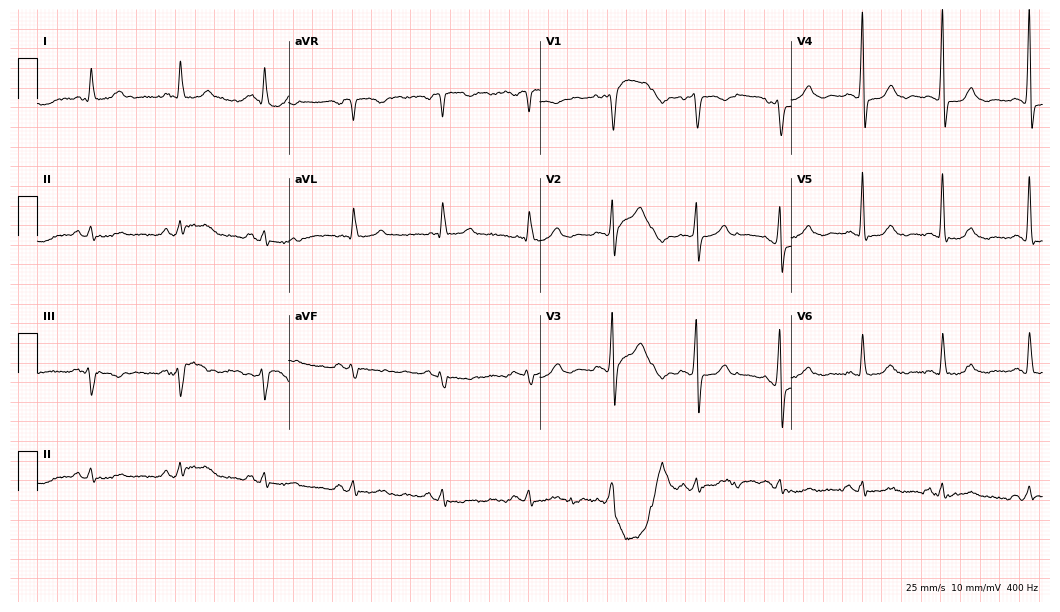
ECG — an 83-year-old male. Screened for six findings — first-degree AV block, right bundle branch block (RBBB), left bundle branch block (LBBB), sinus bradycardia, atrial fibrillation (AF), sinus tachycardia — none is recorded.